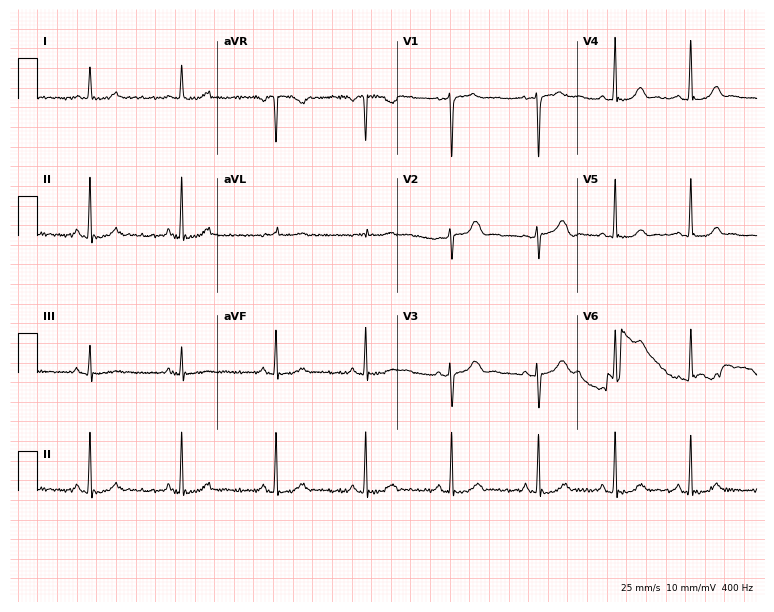
Electrocardiogram (7.3-second recording at 400 Hz), a 19-year-old female. Overall reading on record: normal ECG.